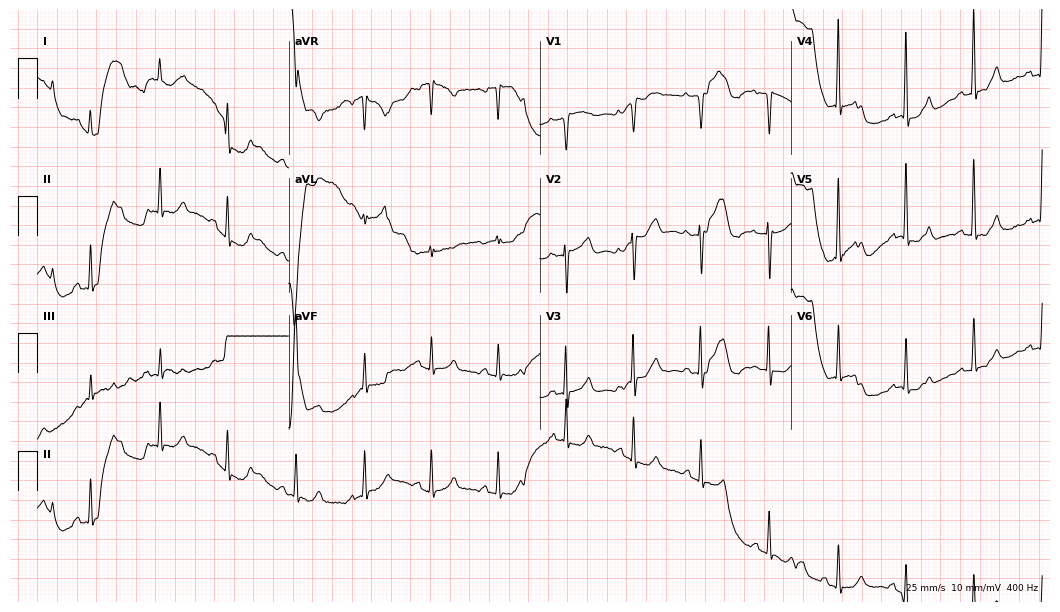
12-lead ECG (10.2-second recording at 400 Hz) from a woman, 84 years old. Screened for six findings — first-degree AV block, right bundle branch block, left bundle branch block, sinus bradycardia, atrial fibrillation, sinus tachycardia — none is recorded. Findings outside these six are not listed.